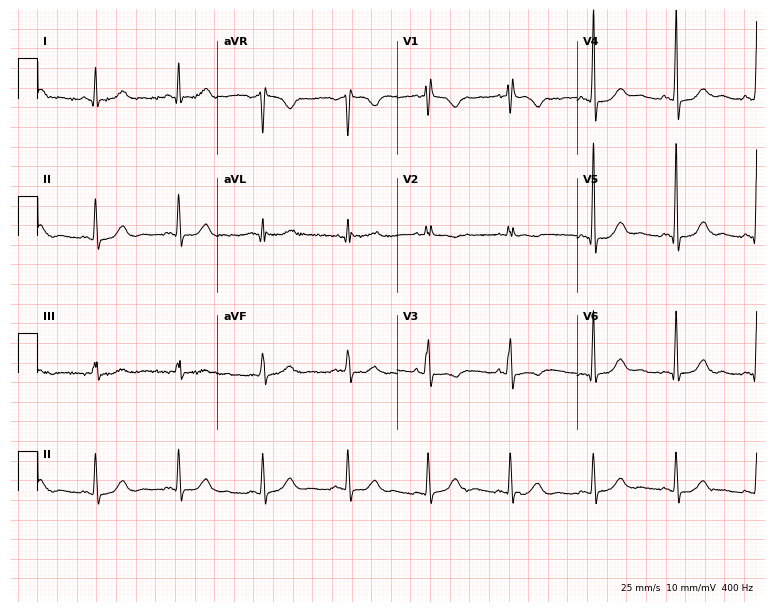
Standard 12-lead ECG recorded from a 60-year-old woman. Read as a normal ECG.